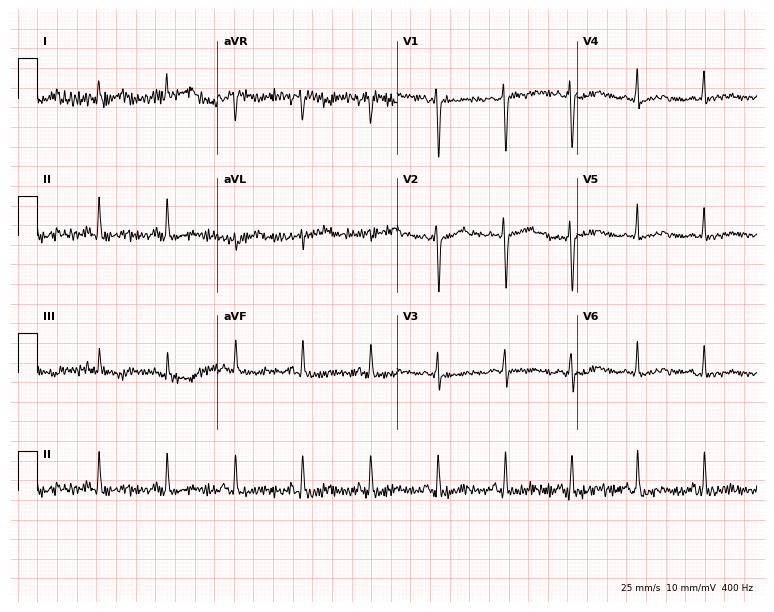
Resting 12-lead electrocardiogram. Patient: a female, 30 years old. None of these six findings is recorded: first-degree AV block, right bundle branch block (RBBB), left bundle branch block (LBBB), sinus bradycardia, atrial fibrillation (AF), sinus tachycardia. Only these six findings were labelled.